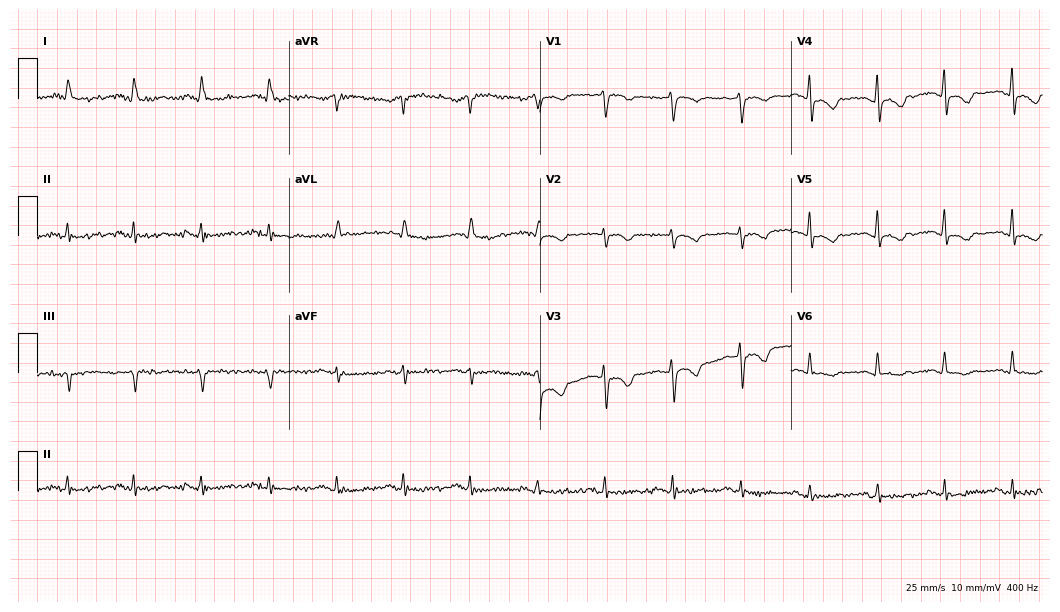
Electrocardiogram (10.2-second recording at 400 Hz), a female patient, 51 years old. Of the six screened findings (first-degree AV block, right bundle branch block, left bundle branch block, sinus bradycardia, atrial fibrillation, sinus tachycardia), none is recorded.